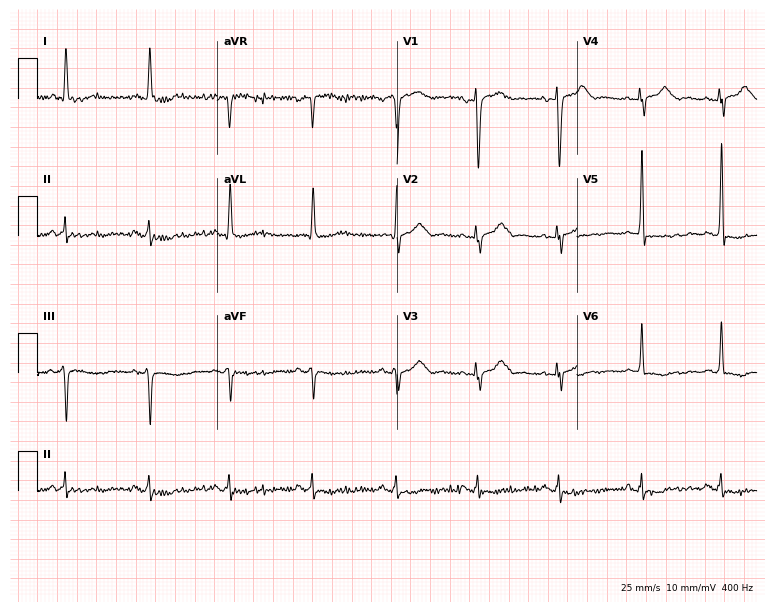
Electrocardiogram, a female, 79 years old. Of the six screened findings (first-degree AV block, right bundle branch block (RBBB), left bundle branch block (LBBB), sinus bradycardia, atrial fibrillation (AF), sinus tachycardia), none is recorded.